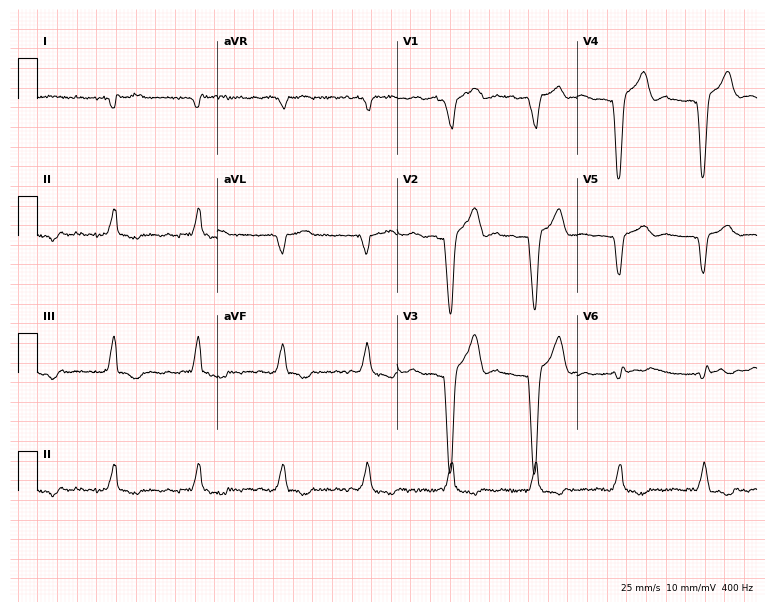
Resting 12-lead electrocardiogram (7.3-second recording at 400 Hz). Patient: a 74-year-old male. None of these six findings is recorded: first-degree AV block, right bundle branch block, left bundle branch block, sinus bradycardia, atrial fibrillation, sinus tachycardia.